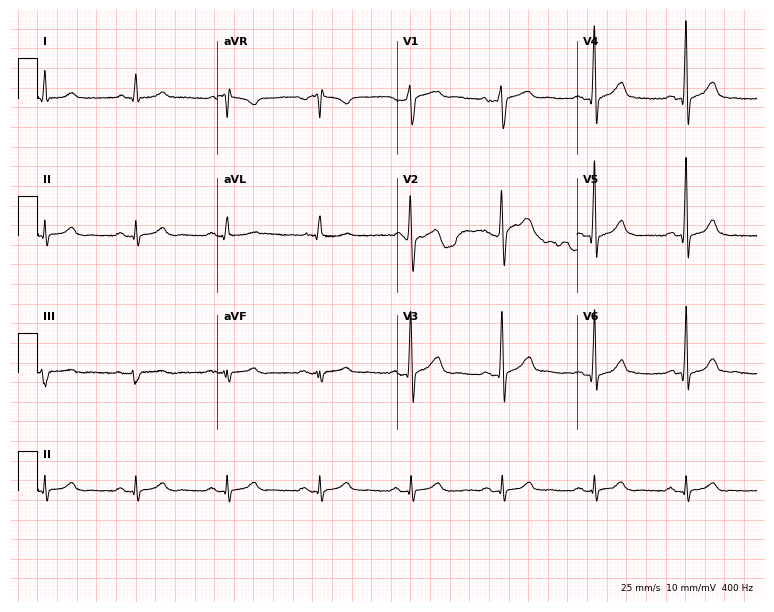
12-lead ECG (7.3-second recording at 400 Hz) from a man, 57 years old. Labelled as a normal ECG.